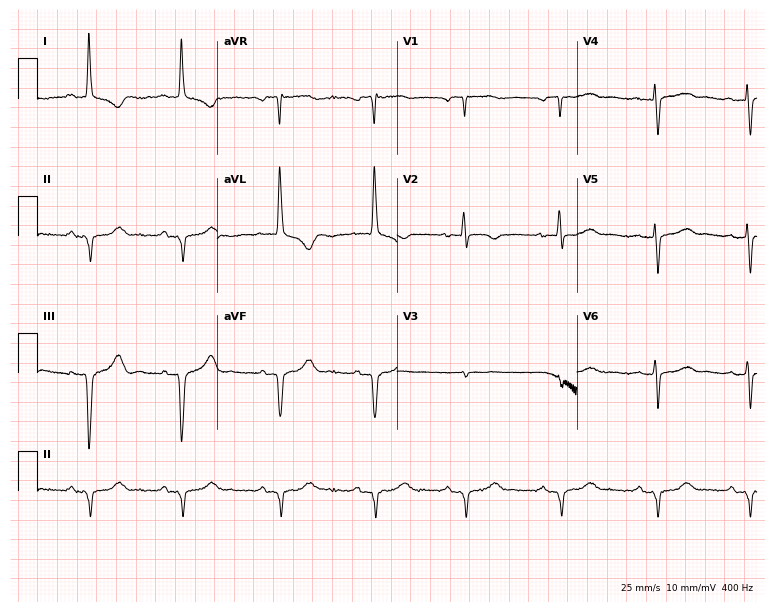
Resting 12-lead electrocardiogram. Patient: a 46-year-old woman. None of these six findings is recorded: first-degree AV block, right bundle branch block, left bundle branch block, sinus bradycardia, atrial fibrillation, sinus tachycardia. Only these six findings were labelled.